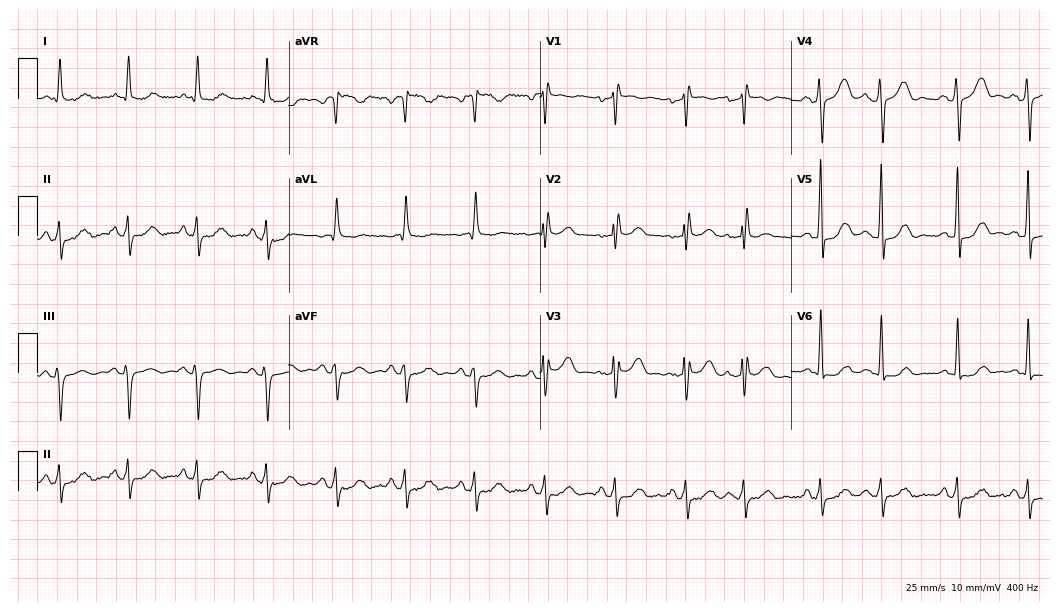
12-lead ECG (10.2-second recording at 400 Hz) from a man, 58 years old. Screened for six findings — first-degree AV block, right bundle branch block, left bundle branch block, sinus bradycardia, atrial fibrillation, sinus tachycardia — none is recorded. Findings outside these six are not listed.